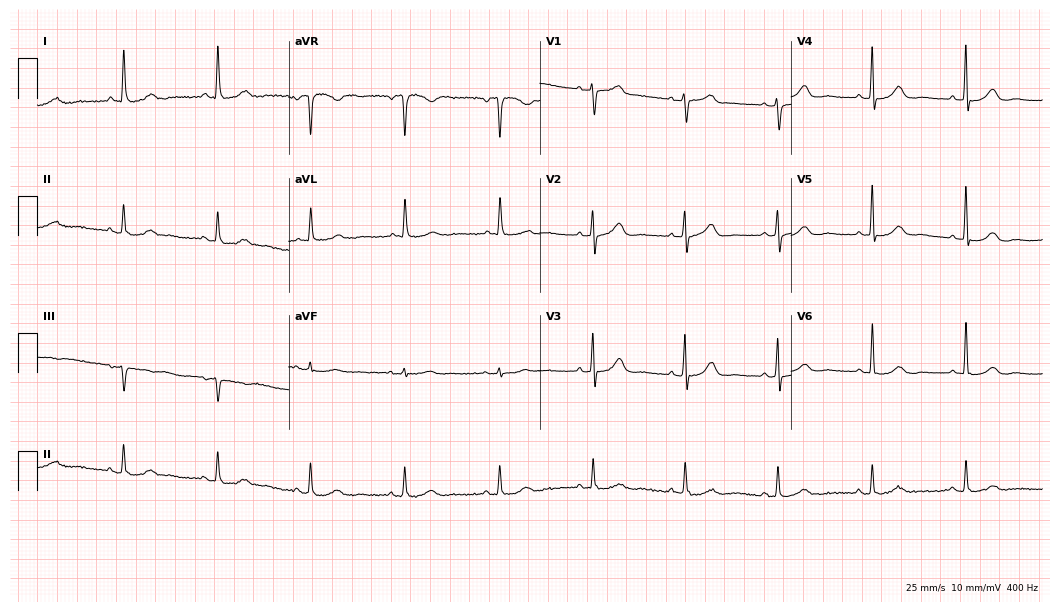
12-lead ECG from a woman, 83 years old. Screened for six findings — first-degree AV block, right bundle branch block, left bundle branch block, sinus bradycardia, atrial fibrillation, sinus tachycardia — none is recorded.